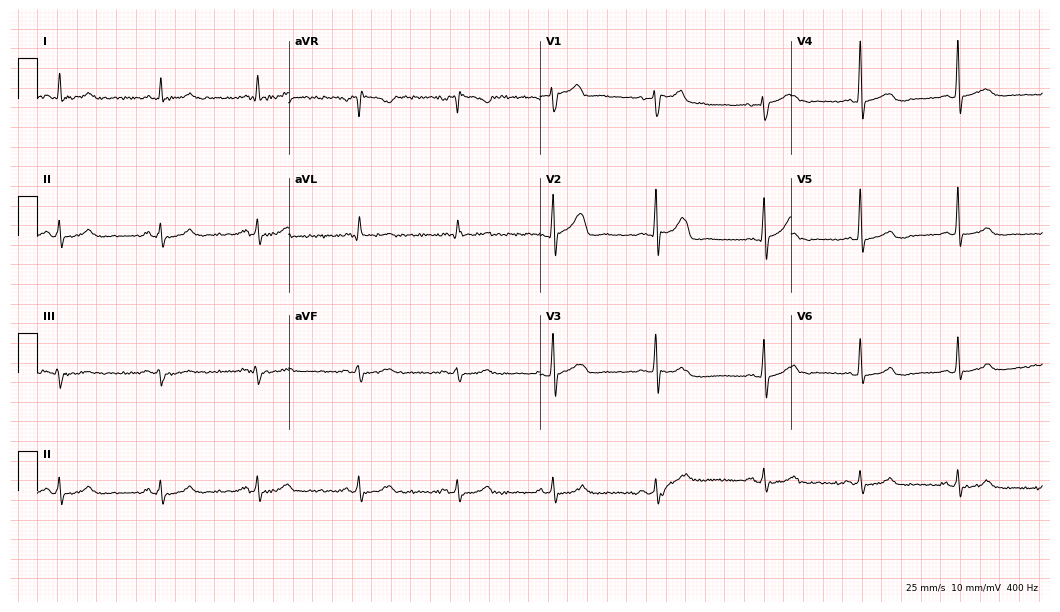
Electrocardiogram (10.2-second recording at 400 Hz), a 56-year-old female. Overall reading on record: normal ECG.